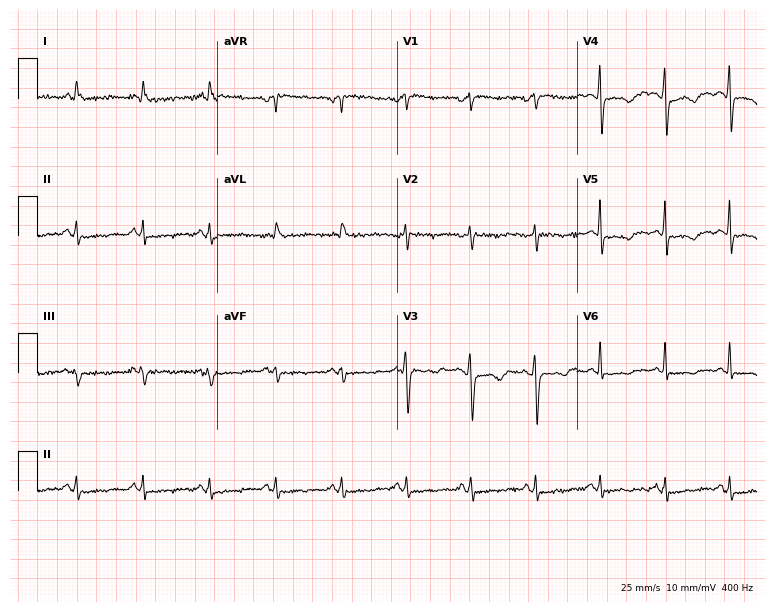
12-lead ECG from a 48-year-old female patient (7.3-second recording at 400 Hz). No first-degree AV block, right bundle branch block, left bundle branch block, sinus bradycardia, atrial fibrillation or sinus tachycardia recorded for this tracing.